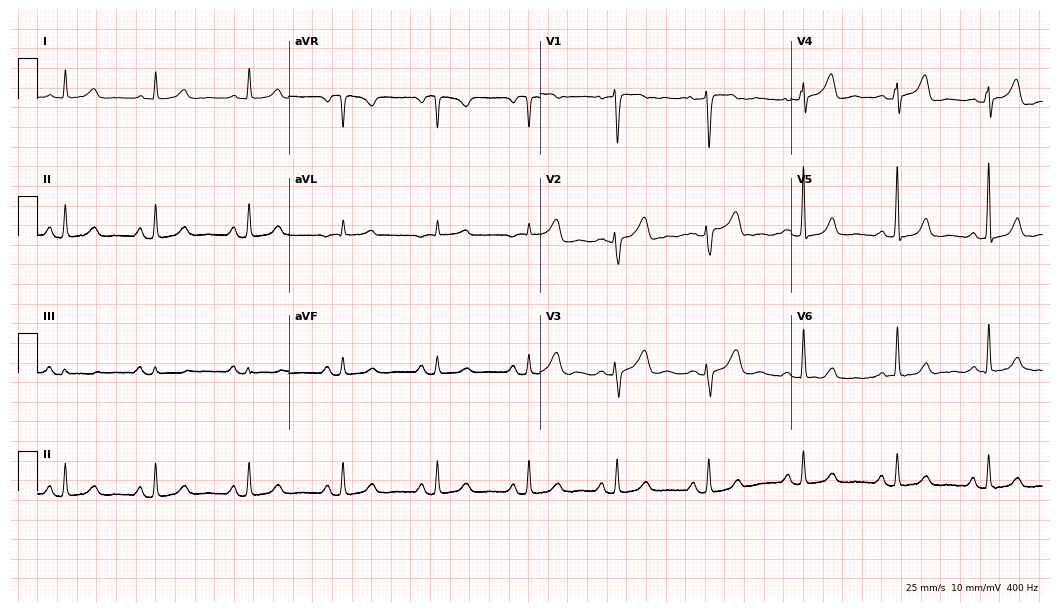
Standard 12-lead ECG recorded from a 62-year-old female (10.2-second recording at 400 Hz). Read as a normal ECG.